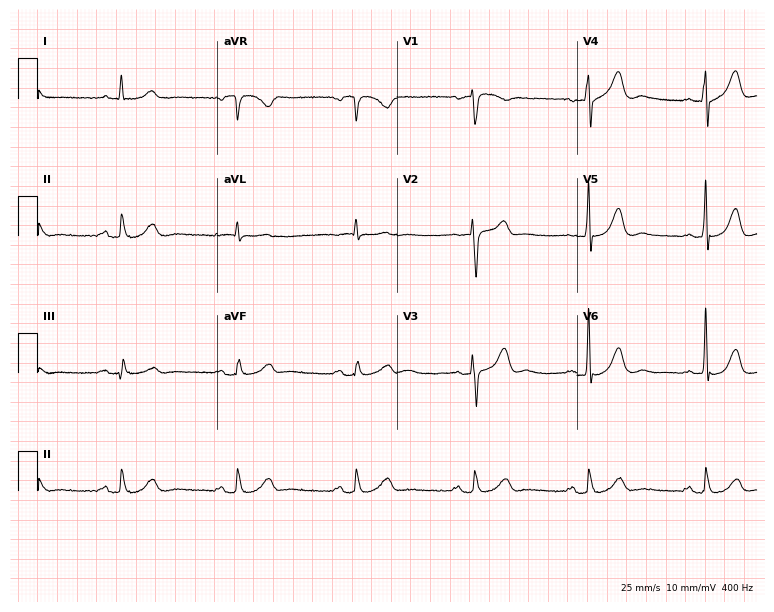
Resting 12-lead electrocardiogram. Patient: a male, 85 years old. None of these six findings is recorded: first-degree AV block, right bundle branch block (RBBB), left bundle branch block (LBBB), sinus bradycardia, atrial fibrillation (AF), sinus tachycardia. Findings outside these six are not listed.